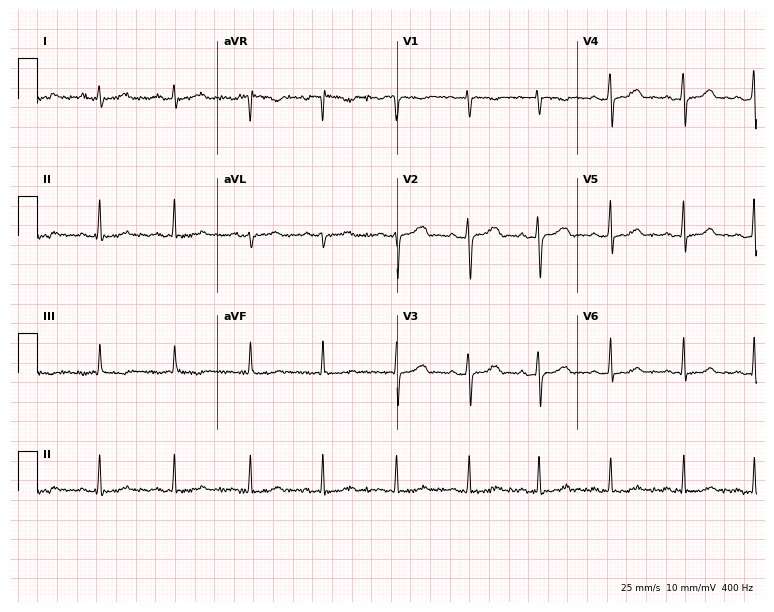
Resting 12-lead electrocardiogram. Patient: a 29-year-old woman. None of these six findings is recorded: first-degree AV block, right bundle branch block (RBBB), left bundle branch block (LBBB), sinus bradycardia, atrial fibrillation (AF), sinus tachycardia.